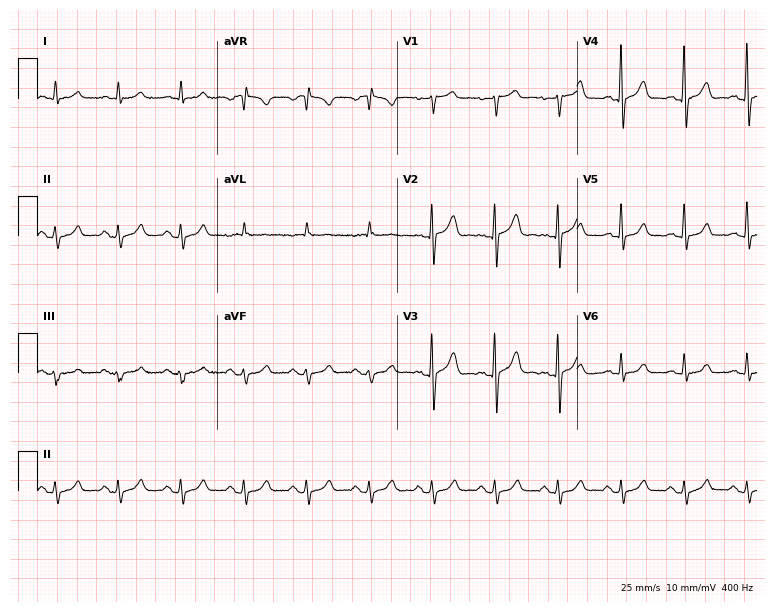
Electrocardiogram, a 70-year-old male. Overall reading on record: normal ECG.